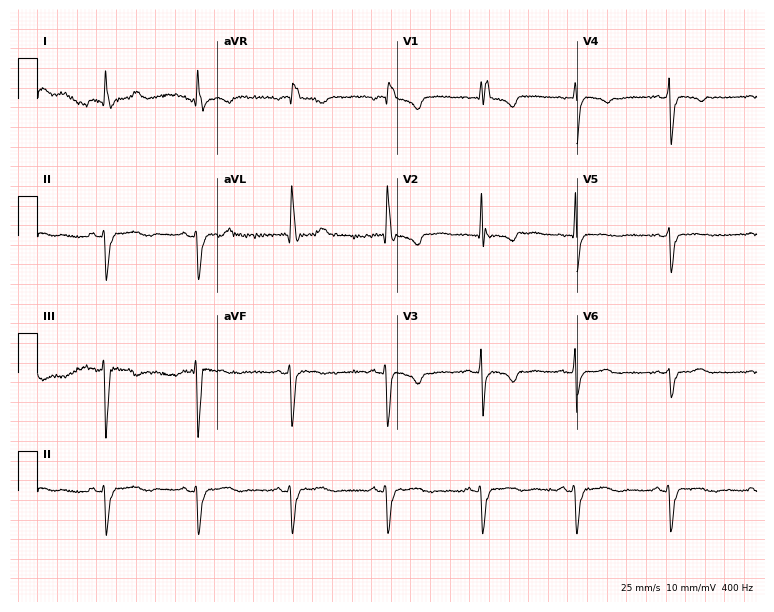
12-lead ECG from a 48-year-old female patient (7.3-second recording at 400 Hz). Shows right bundle branch block (RBBB).